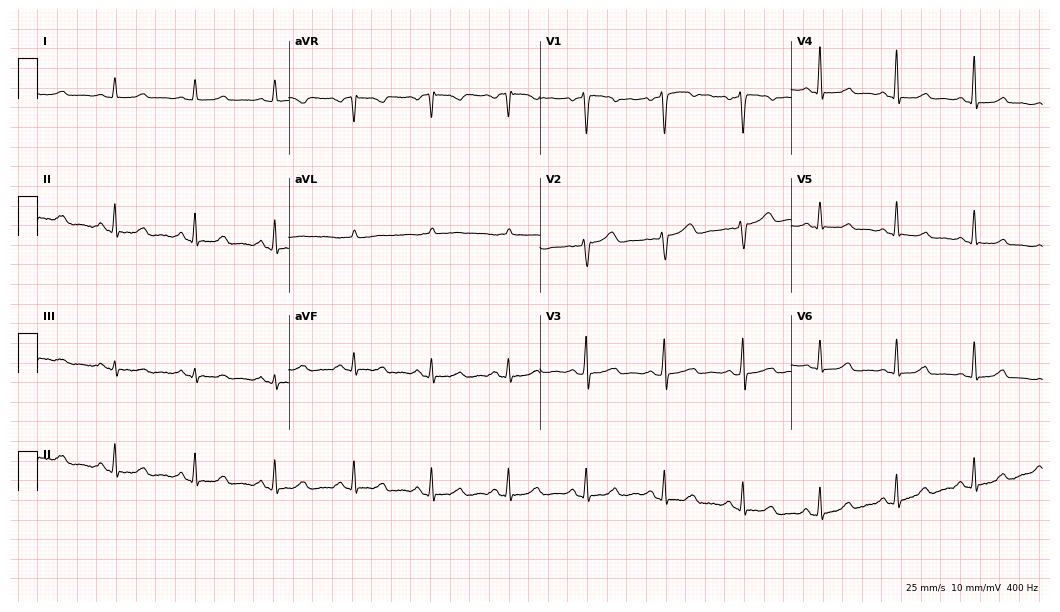
ECG — a 54-year-old female. Labelled as a normal ECG.